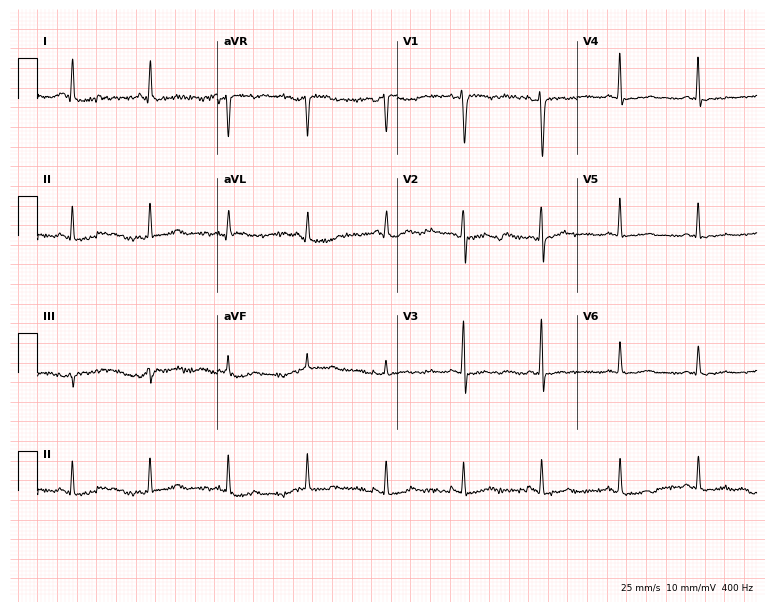
12-lead ECG (7.3-second recording at 400 Hz) from a 38-year-old female. Screened for six findings — first-degree AV block, right bundle branch block, left bundle branch block, sinus bradycardia, atrial fibrillation, sinus tachycardia — none is recorded.